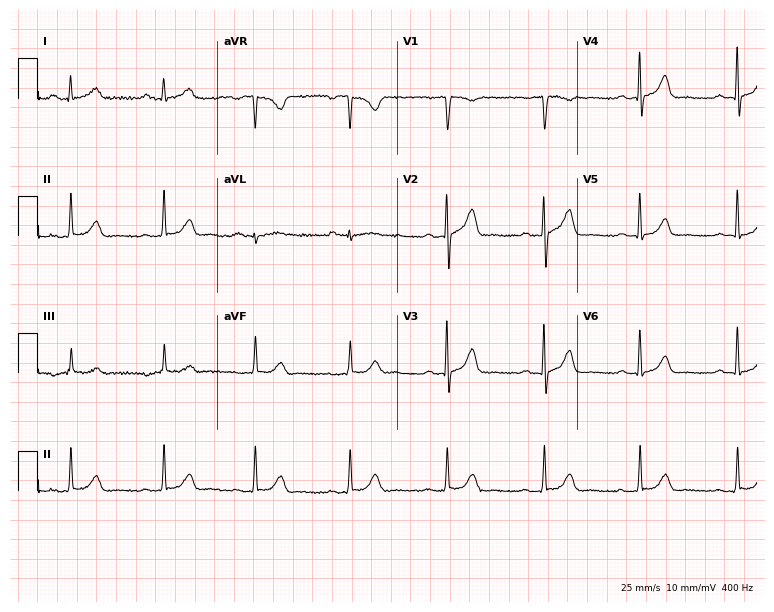
12-lead ECG (7.3-second recording at 400 Hz) from a male patient, 76 years old. Labelled as a normal ECG.